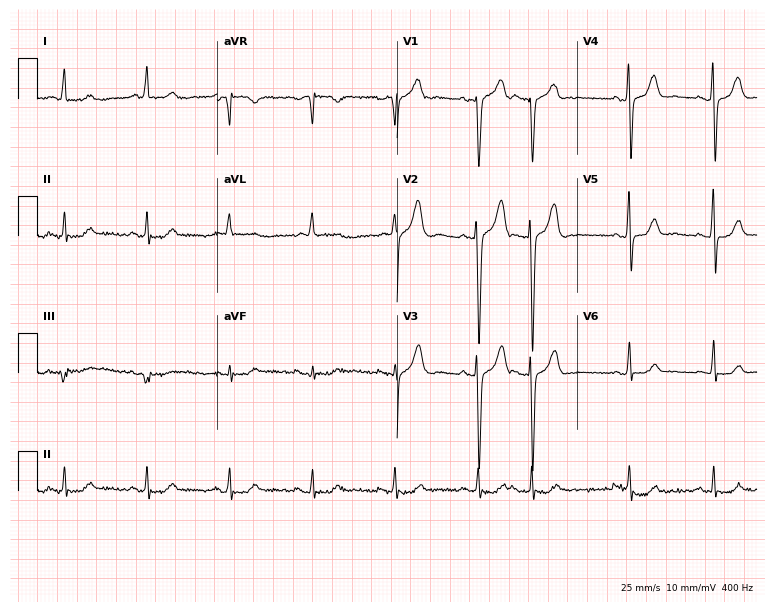
12-lead ECG from a male patient, 80 years old. Screened for six findings — first-degree AV block, right bundle branch block, left bundle branch block, sinus bradycardia, atrial fibrillation, sinus tachycardia — none is recorded. Other findings, if any, are not listed.